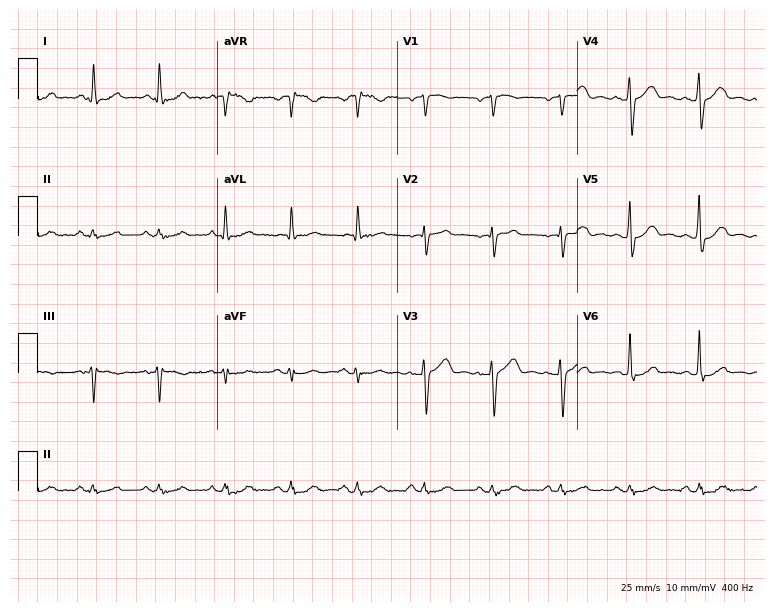
Electrocardiogram, a man, 19 years old. Overall reading on record: normal ECG.